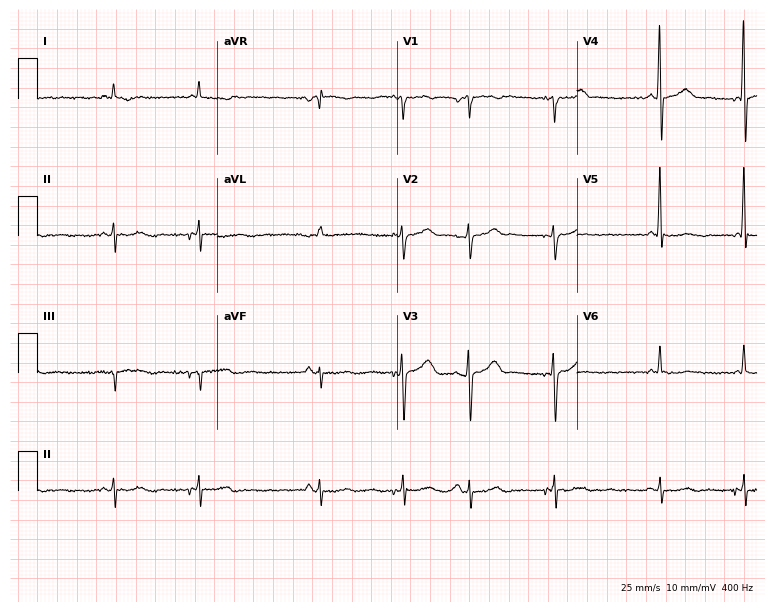
Standard 12-lead ECG recorded from a 70-year-old male patient. None of these six findings is recorded: first-degree AV block, right bundle branch block, left bundle branch block, sinus bradycardia, atrial fibrillation, sinus tachycardia.